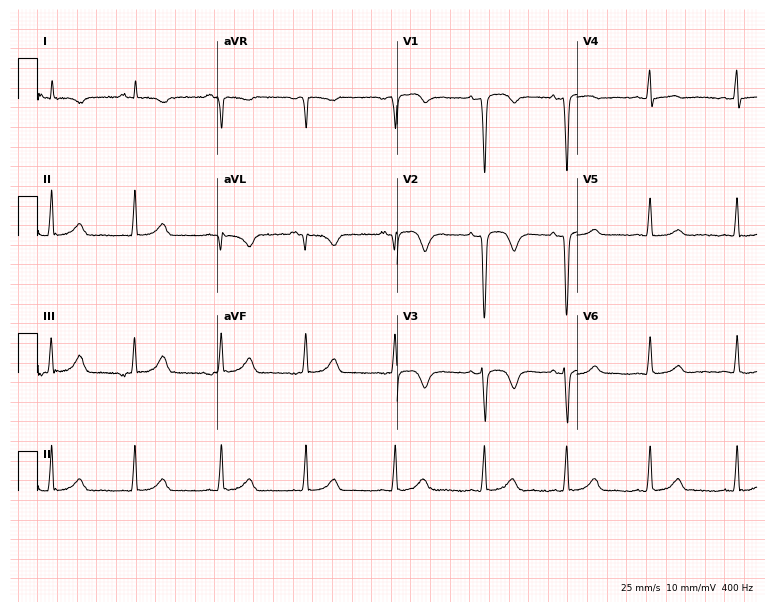
Electrocardiogram, a 50-year-old female patient. Of the six screened findings (first-degree AV block, right bundle branch block, left bundle branch block, sinus bradycardia, atrial fibrillation, sinus tachycardia), none is recorded. Only these six findings were labelled.